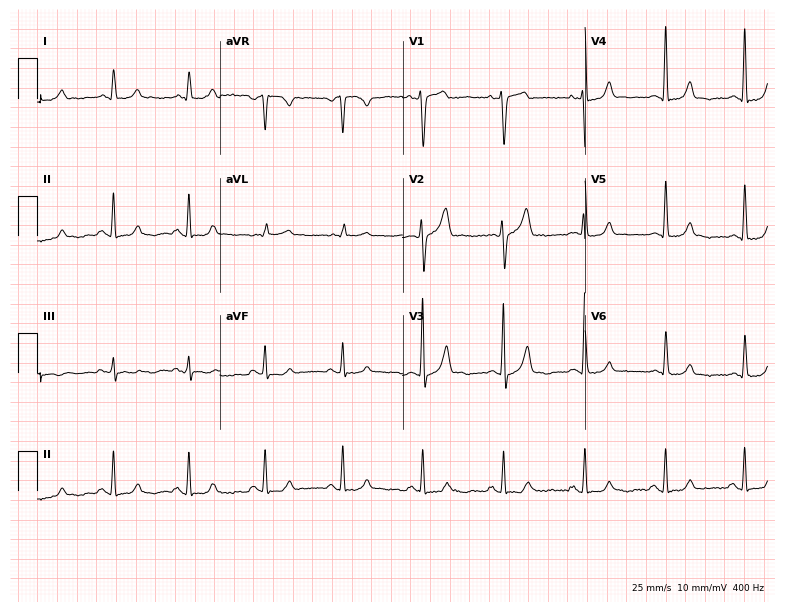
Resting 12-lead electrocardiogram. Patient: a woman, 65 years old. Read as a normal ECG.